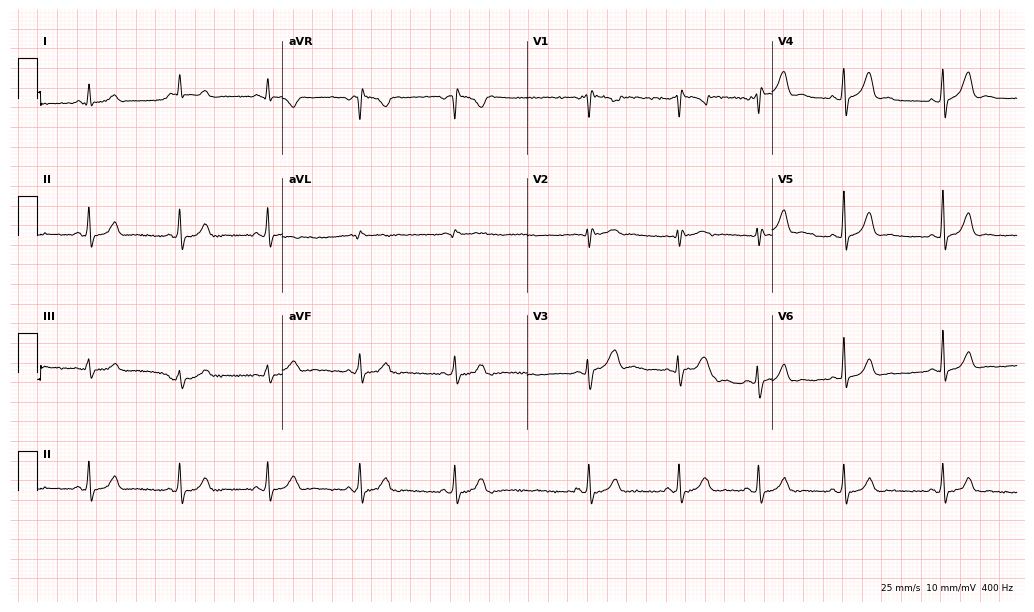
Electrocardiogram (10-second recording at 400 Hz), a woman, 17 years old. Of the six screened findings (first-degree AV block, right bundle branch block (RBBB), left bundle branch block (LBBB), sinus bradycardia, atrial fibrillation (AF), sinus tachycardia), none is recorded.